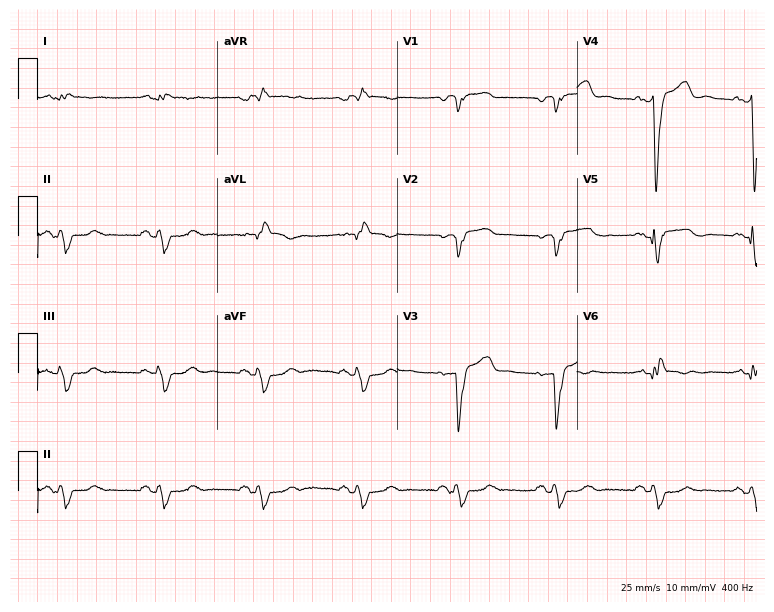
Standard 12-lead ECG recorded from a male, 49 years old (7.3-second recording at 400 Hz). The tracing shows left bundle branch block.